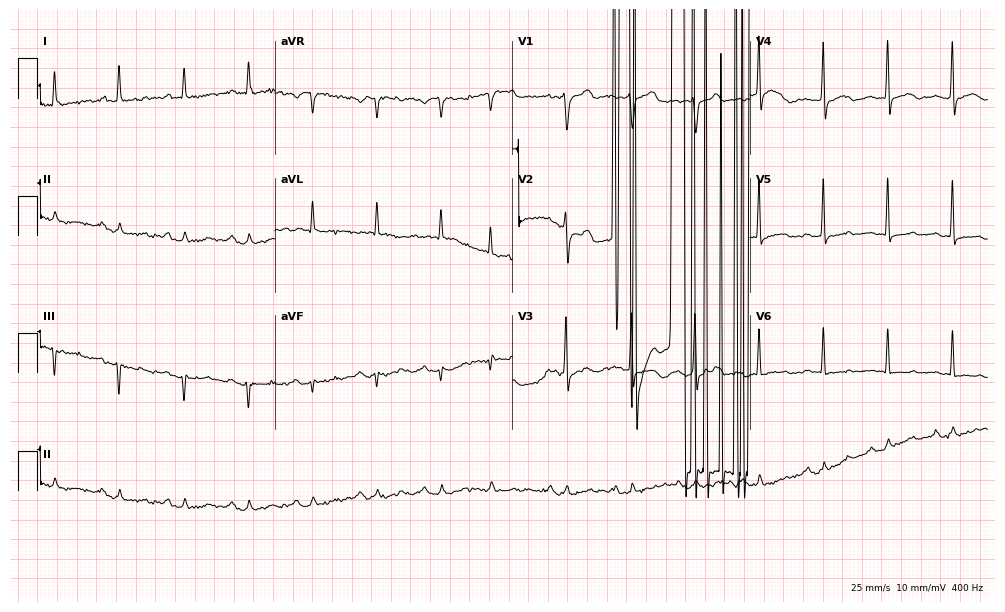
Standard 12-lead ECG recorded from a woman, 80 years old (9.7-second recording at 400 Hz). None of these six findings is recorded: first-degree AV block, right bundle branch block, left bundle branch block, sinus bradycardia, atrial fibrillation, sinus tachycardia.